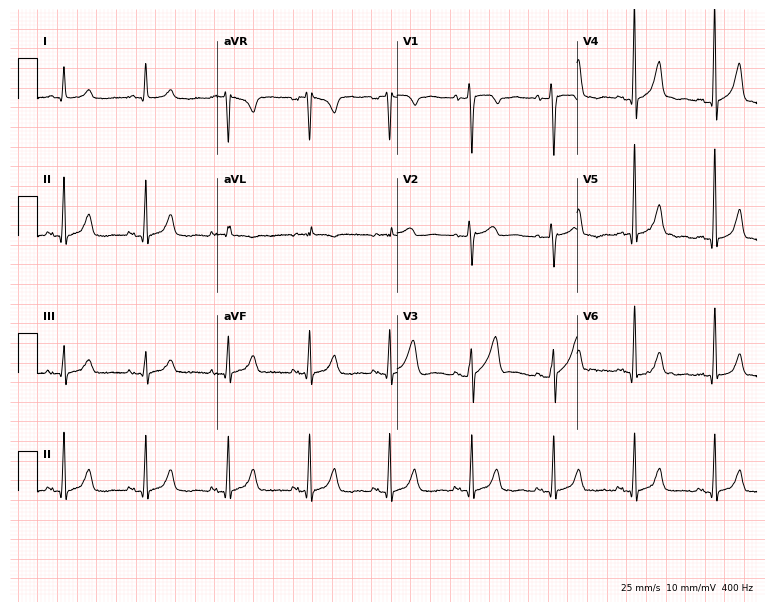
12-lead ECG from a female, 80 years old (7.3-second recording at 400 Hz). No first-degree AV block, right bundle branch block, left bundle branch block, sinus bradycardia, atrial fibrillation or sinus tachycardia recorded for this tracing.